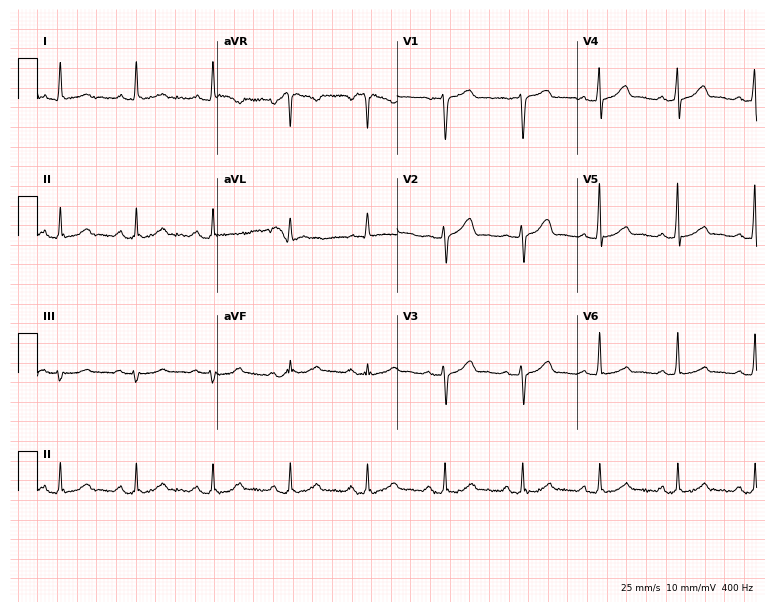
12-lead ECG from a 51-year-old female patient. Recorded interpretation: within normal limits.